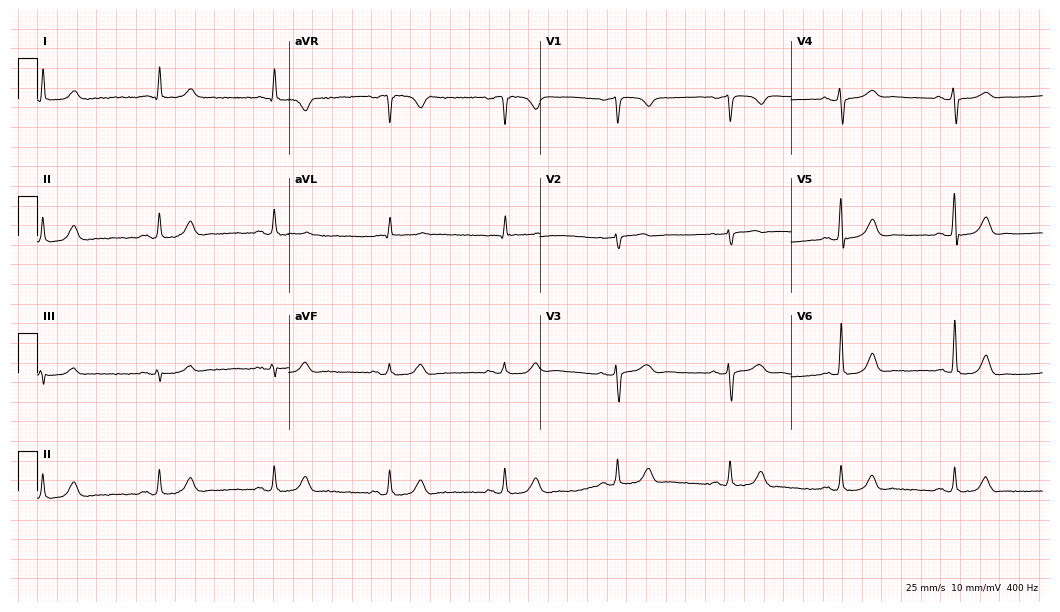
12-lead ECG from an 82-year-old male. Recorded interpretation: within normal limits.